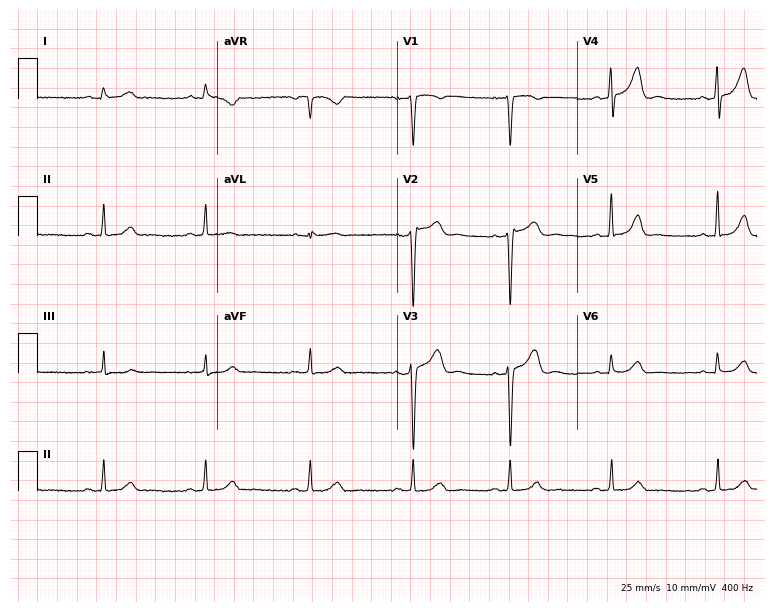
12-lead ECG from a man, 50 years old. Recorded interpretation: within normal limits.